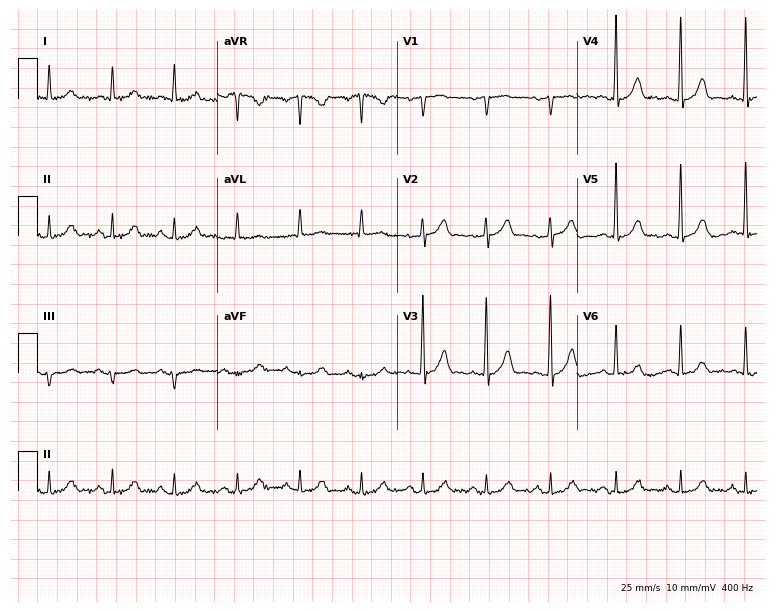
Electrocardiogram, a male, 61 years old. Overall reading on record: normal ECG.